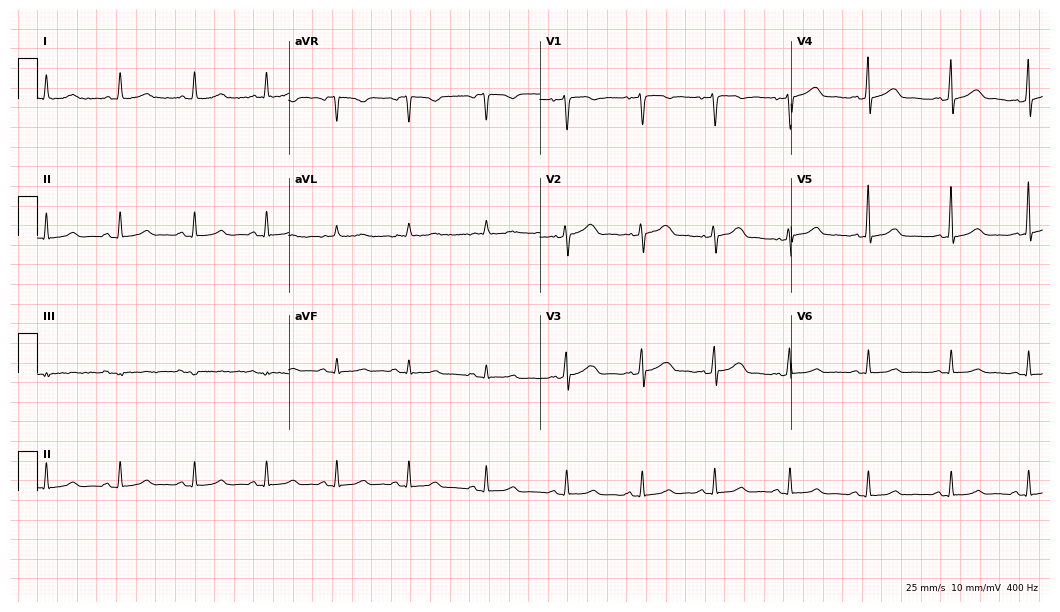
Resting 12-lead electrocardiogram. Patient: a female, 35 years old. Read as a normal ECG.